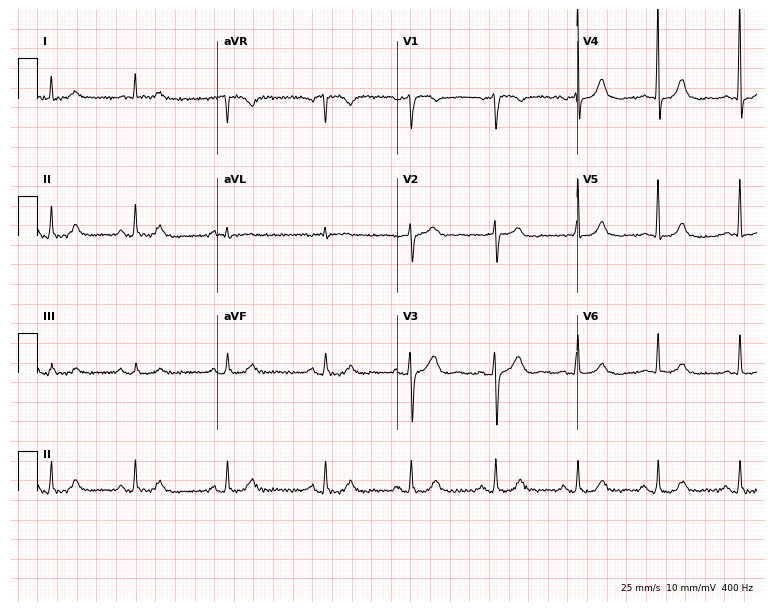
ECG (7.3-second recording at 400 Hz) — a male patient, 61 years old. Screened for six findings — first-degree AV block, right bundle branch block (RBBB), left bundle branch block (LBBB), sinus bradycardia, atrial fibrillation (AF), sinus tachycardia — none is recorded.